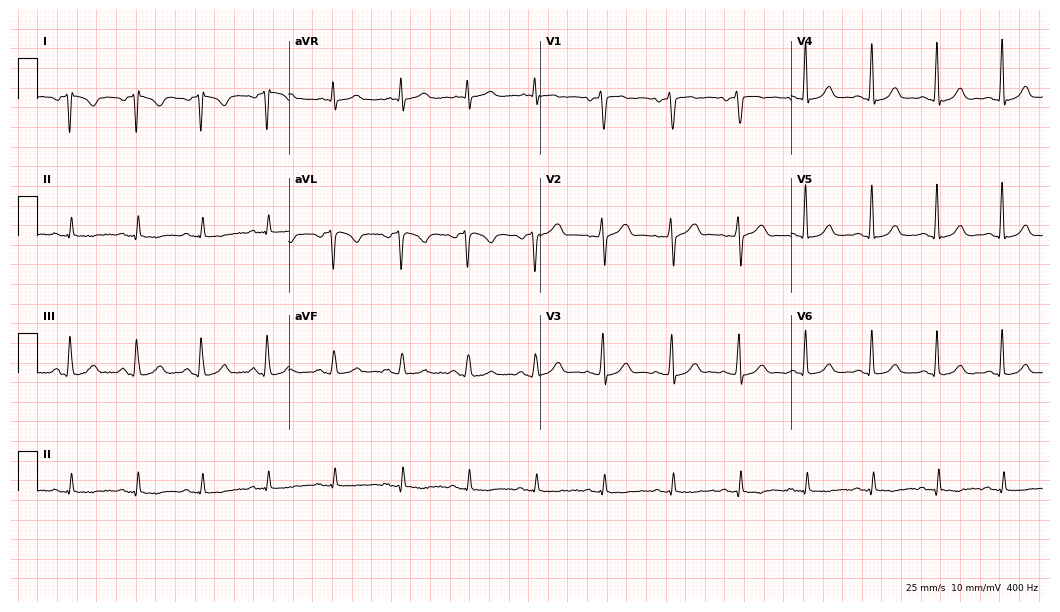
ECG — a woman, 45 years old. Screened for six findings — first-degree AV block, right bundle branch block (RBBB), left bundle branch block (LBBB), sinus bradycardia, atrial fibrillation (AF), sinus tachycardia — none is recorded.